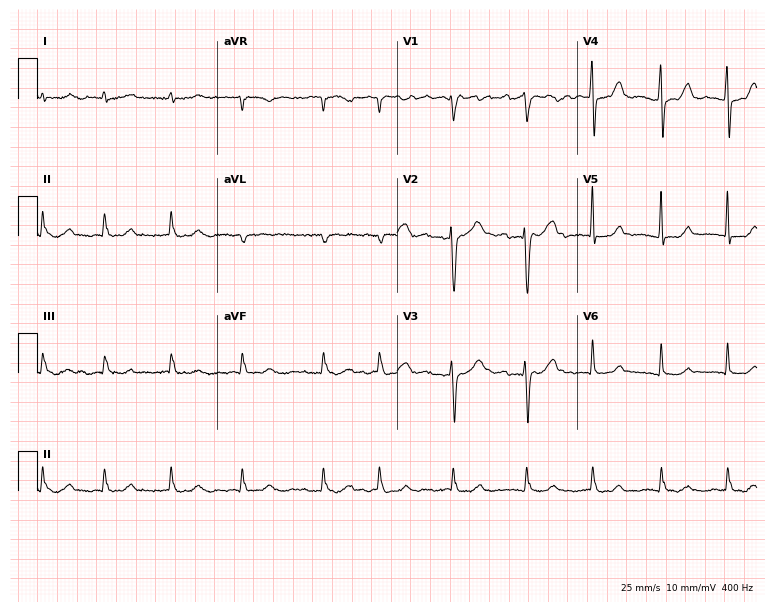
12-lead ECG from a male patient, 83 years old. Shows atrial fibrillation.